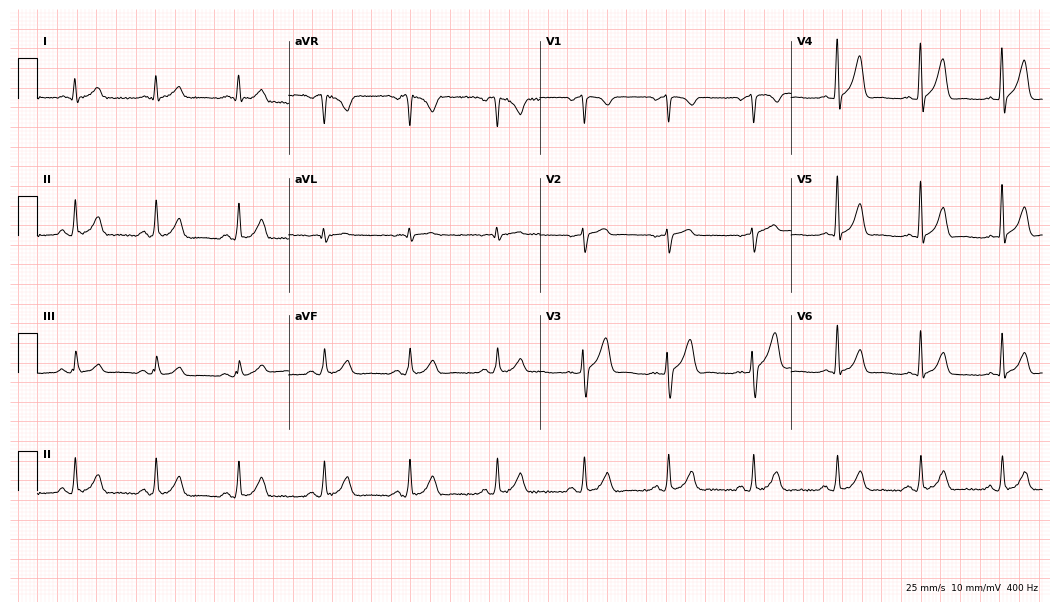
12-lead ECG from a 29-year-old female. Labelled as a normal ECG.